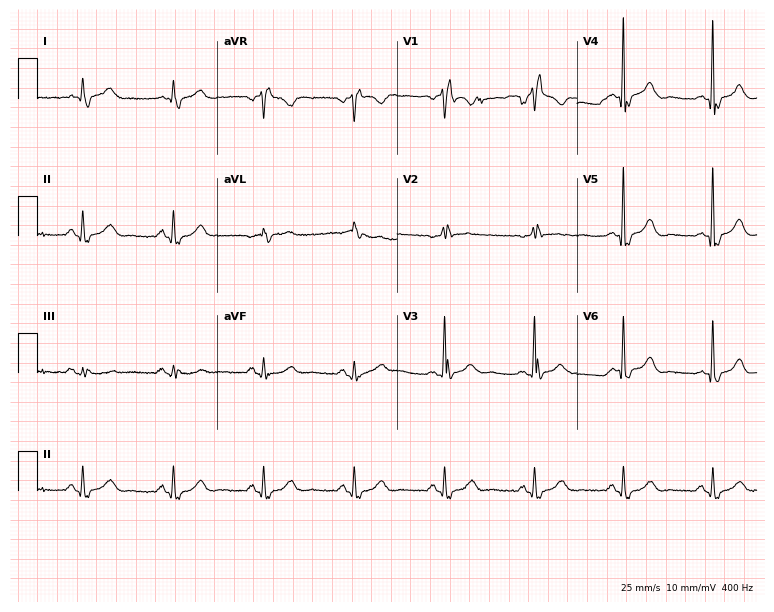
ECG — an 83-year-old male. Screened for six findings — first-degree AV block, right bundle branch block, left bundle branch block, sinus bradycardia, atrial fibrillation, sinus tachycardia — none is recorded. Findings outside these six are not listed.